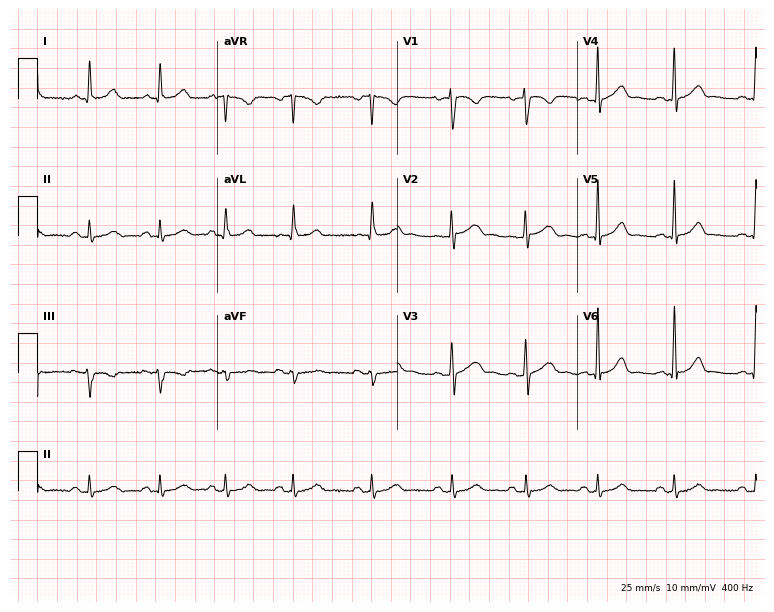
Electrocardiogram, a 33-year-old woman. Of the six screened findings (first-degree AV block, right bundle branch block, left bundle branch block, sinus bradycardia, atrial fibrillation, sinus tachycardia), none is recorded. Other findings, if any, are not listed.